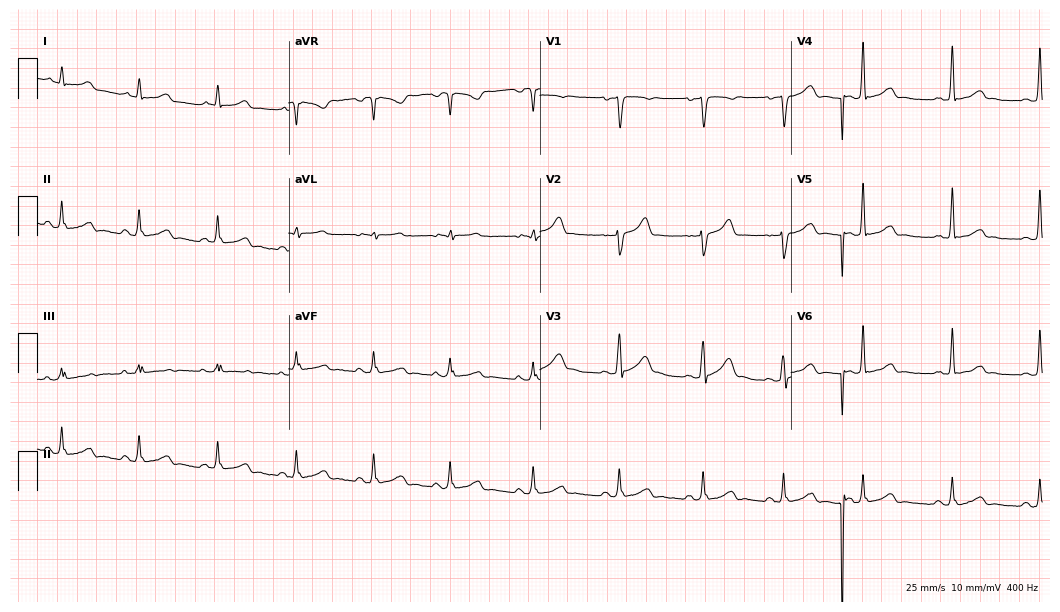
Standard 12-lead ECG recorded from a 23-year-old male. Read as a normal ECG.